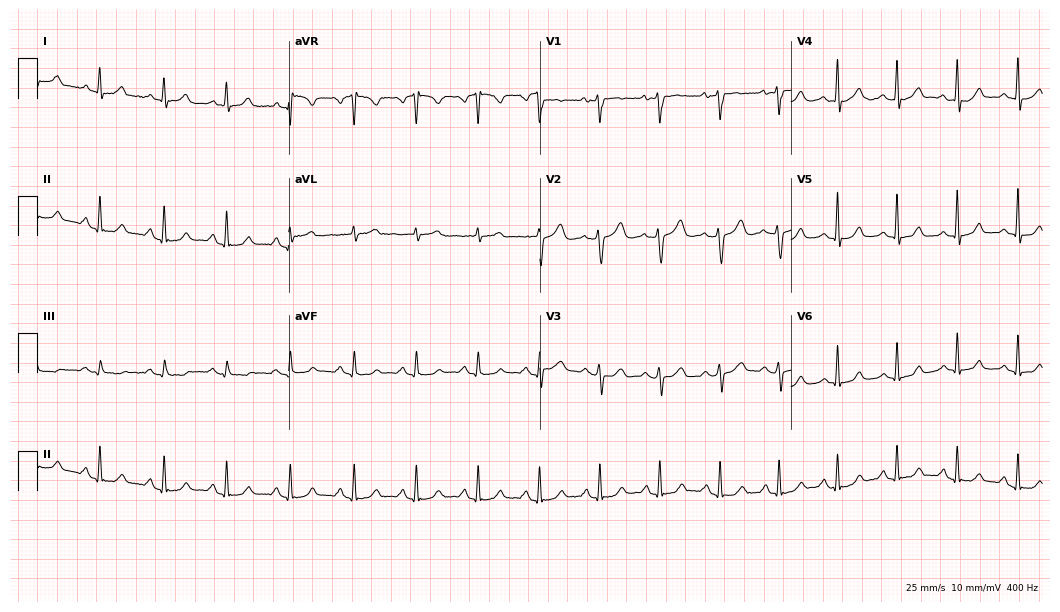
12-lead ECG from a woman, 37 years old. Labelled as a normal ECG.